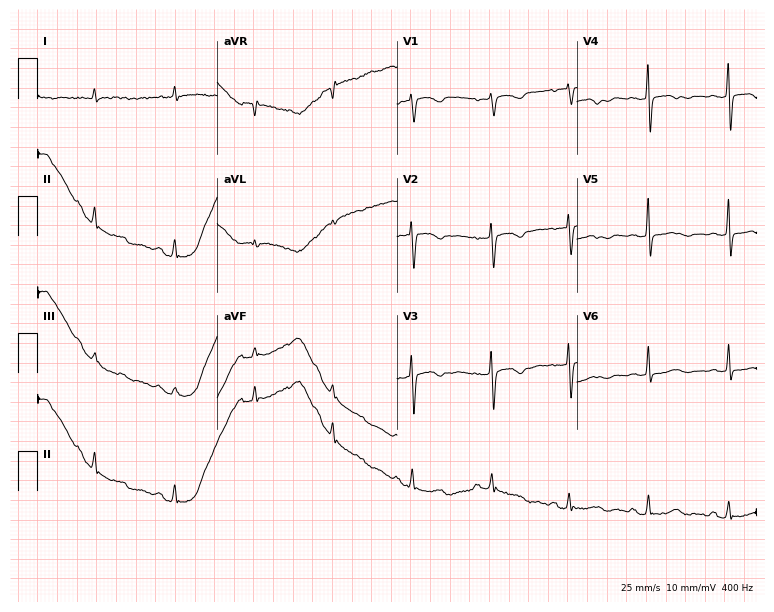
Standard 12-lead ECG recorded from a 79-year-old woman (7.3-second recording at 400 Hz). None of these six findings is recorded: first-degree AV block, right bundle branch block, left bundle branch block, sinus bradycardia, atrial fibrillation, sinus tachycardia. Other findings, if any, are not listed.